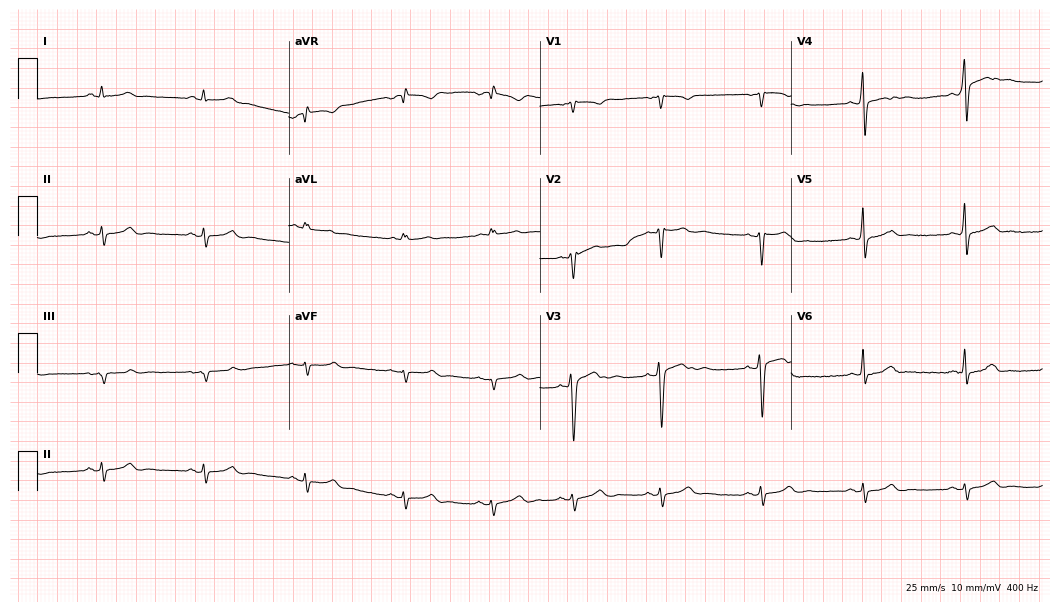
12-lead ECG from a male patient, 34 years old. Screened for six findings — first-degree AV block, right bundle branch block, left bundle branch block, sinus bradycardia, atrial fibrillation, sinus tachycardia — none is recorded. Other findings, if any, are not listed.